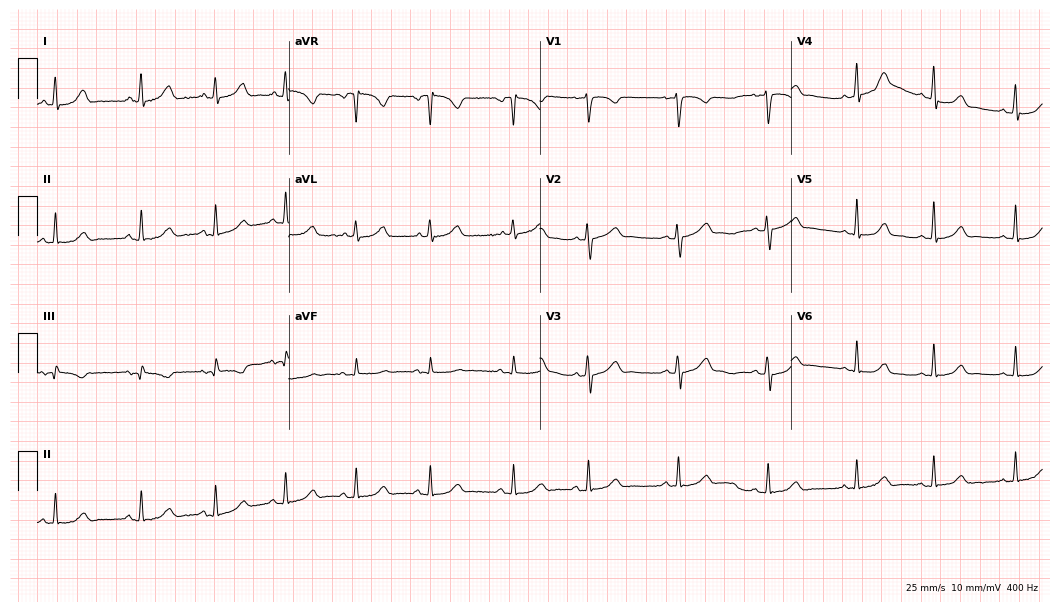
12-lead ECG (10.2-second recording at 400 Hz) from a 26-year-old woman. Labelled as a normal ECG.